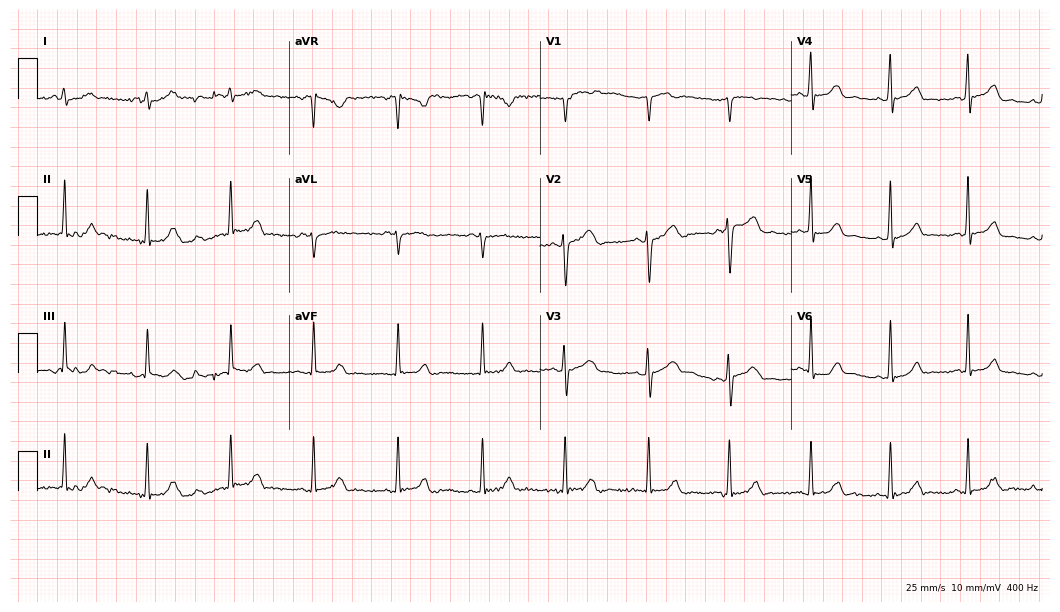
Standard 12-lead ECG recorded from a 23-year-old woman. None of these six findings is recorded: first-degree AV block, right bundle branch block (RBBB), left bundle branch block (LBBB), sinus bradycardia, atrial fibrillation (AF), sinus tachycardia. Findings outside these six are not listed.